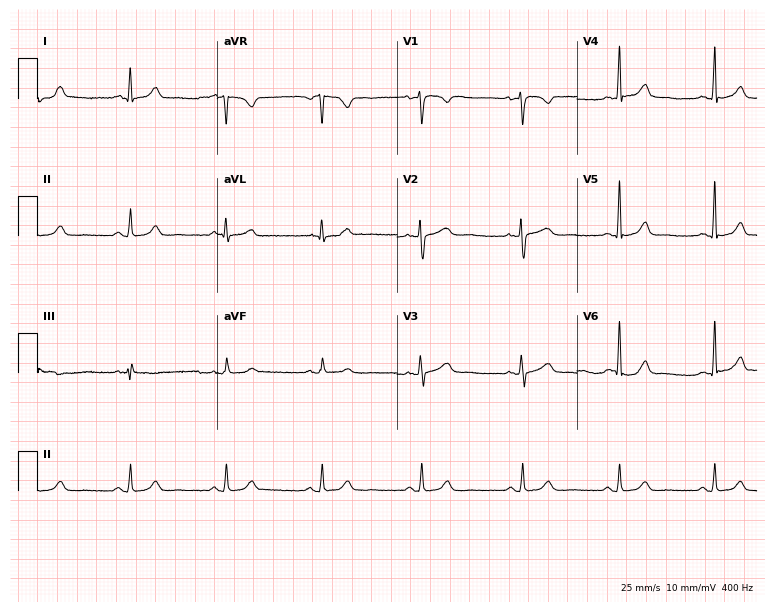
Electrocardiogram, a 44-year-old woman. Of the six screened findings (first-degree AV block, right bundle branch block, left bundle branch block, sinus bradycardia, atrial fibrillation, sinus tachycardia), none is recorded. Other findings, if any, are not listed.